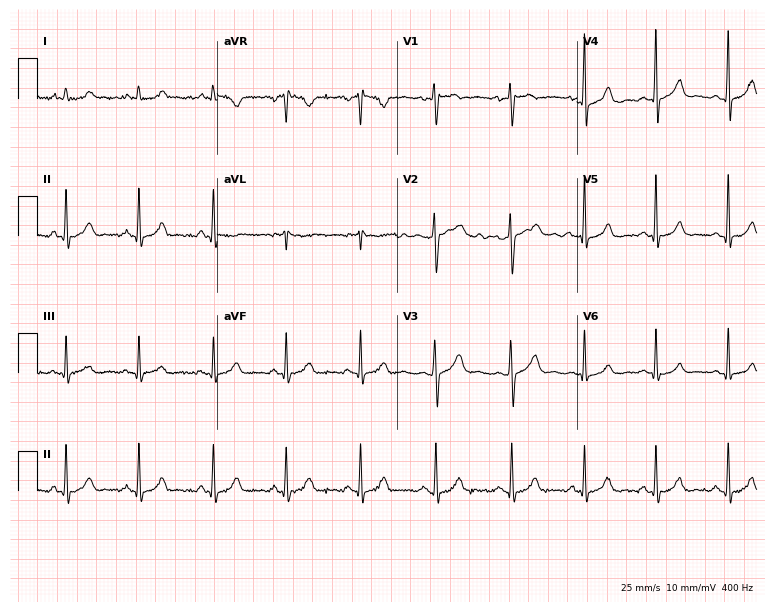
Electrocardiogram (7.3-second recording at 400 Hz), a 31-year-old female. Of the six screened findings (first-degree AV block, right bundle branch block (RBBB), left bundle branch block (LBBB), sinus bradycardia, atrial fibrillation (AF), sinus tachycardia), none is recorded. Only these six findings were labelled.